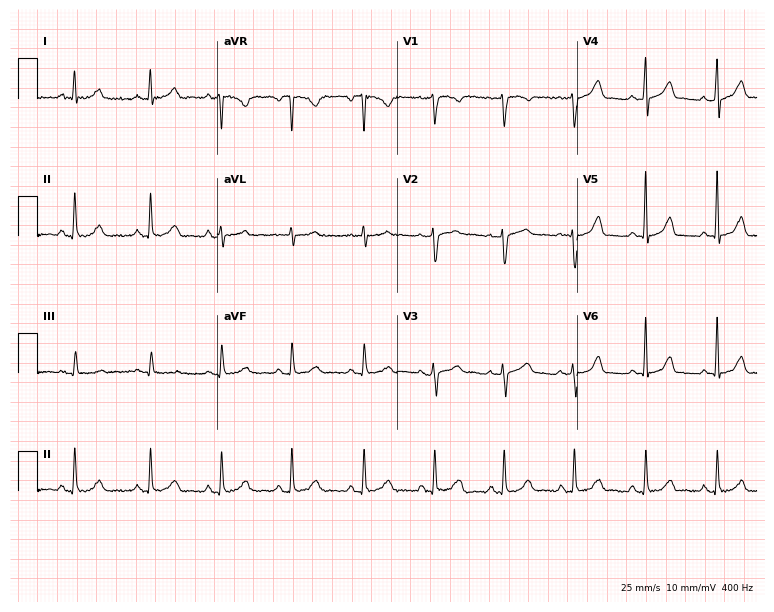
Resting 12-lead electrocardiogram (7.3-second recording at 400 Hz). Patient: a female, 35 years old. Read as a normal ECG.